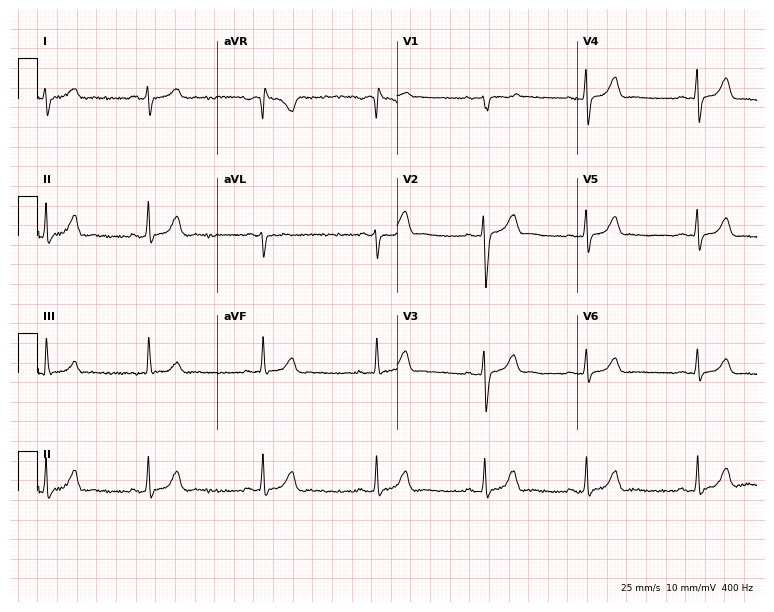
12-lead ECG from a 19-year-old female. Screened for six findings — first-degree AV block, right bundle branch block (RBBB), left bundle branch block (LBBB), sinus bradycardia, atrial fibrillation (AF), sinus tachycardia — none is recorded.